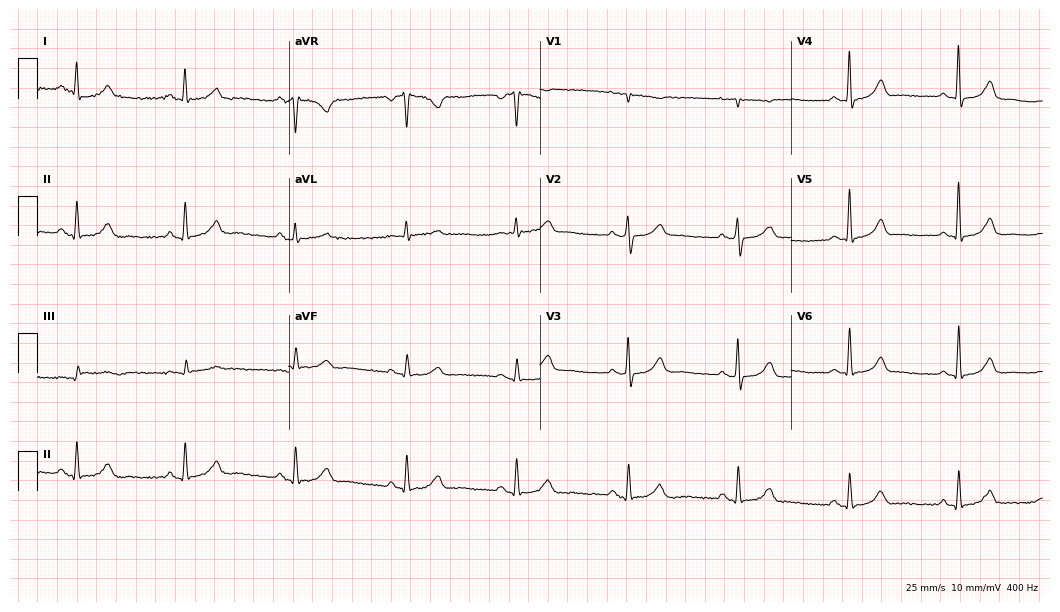
Electrocardiogram (10.2-second recording at 400 Hz), a 57-year-old woman. Of the six screened findings (first-degree AV block, right bundle branch block (RBBB), left bundle branch block (LBBB), sinus bradycardia, atrial fibrillation (AF), sinus tachycardia), none is recorded. Other findings, if any, are not listed.